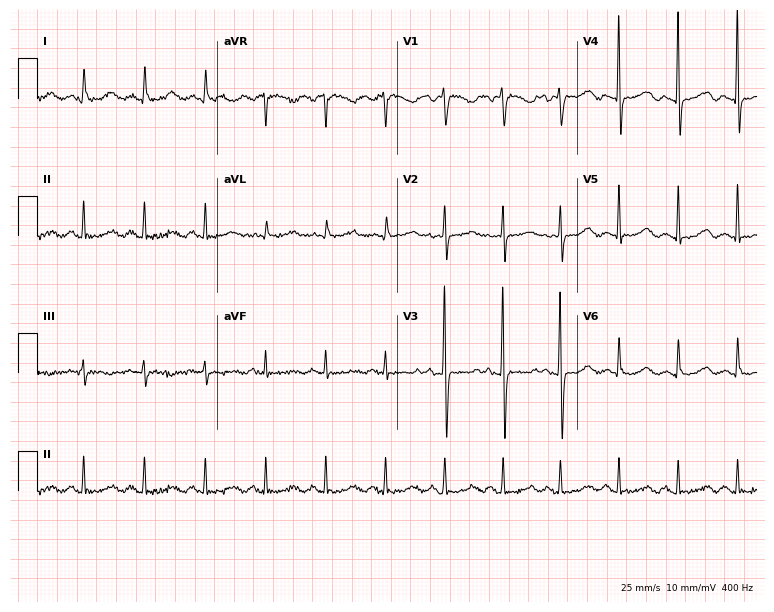
Standard 12-lead ECG recorded from a 53-year-old female. None of these six findings is recorded: first-degree AV block, right bundle branch block, left bundle branch block, sinus bradycardia, atrial fibrillation, sinus tachycardia. Findings outside these six are not listed.